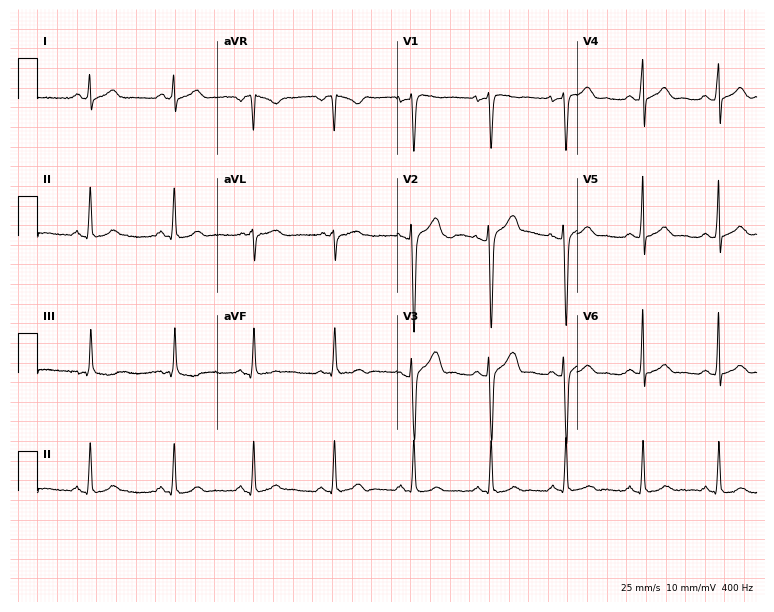
Standard 12-lead ECG recorded from a male, 38 years old (7.3-second recording at 400 Hz). None of these six findings is recorded: first-degree AV block, right bundle branch block, left bundle branch block, sinus bradycardia, atrial fibrillation, sinus tachycardia.